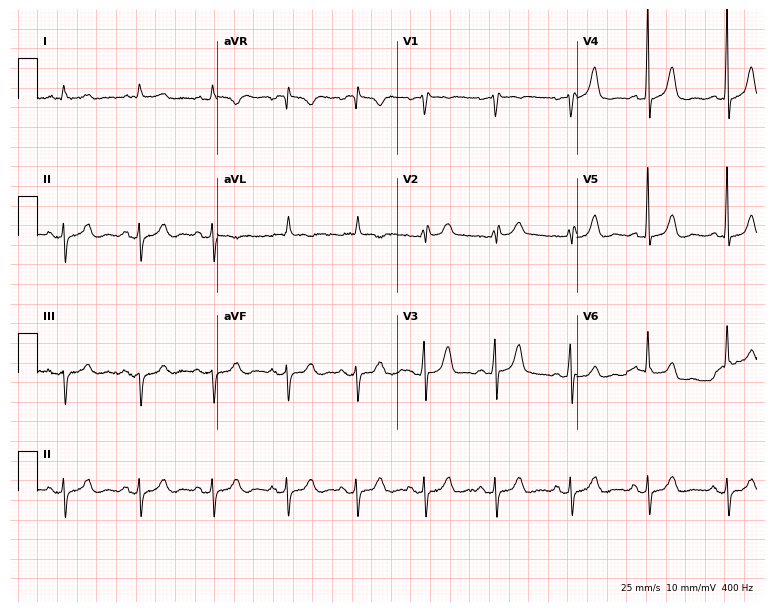
Standard 12-lead ECG recorded from a female, 64 years old (7.3-second recording at 400 Hz). None of these six findings is recorded: first-degree AV block, right bundle branch block (RBBB), left bundle branch block (LBBB), sinus bradycardia, atrial fibrillation (AF), sinus tachycardia. Only these six findings were labelled.